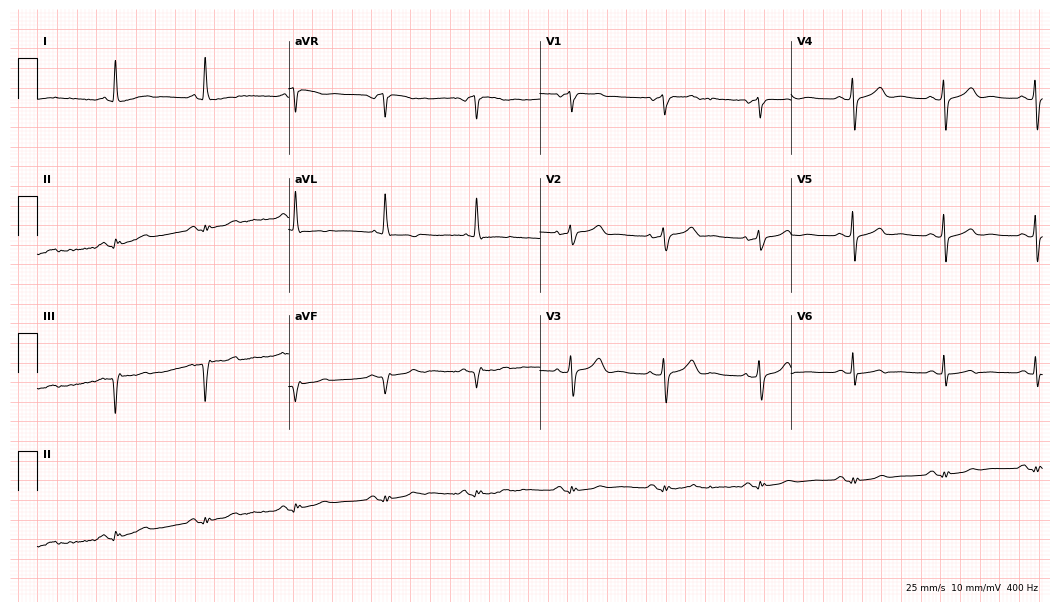
12-lead ECG from a male patient, 85 years old. No first-degree AV block, right bundle branch block, left bundle branch block, sinus bradycardia, atrial fibrillation or sinus tachycardia recorded for this tracing.